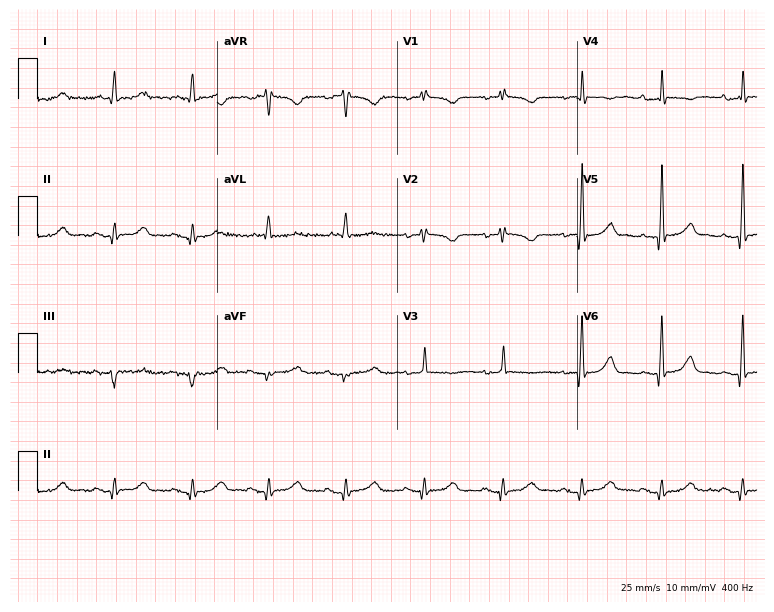
Standard 12-lead ECG recorded from an 80-year-old woman. None of these six findings is recorded: first-degree AV block, right bundle branch block, left bundle branch block, sinus bradycardia, atrial fibrillation, sinus tachycardia. Other findings, if any, are not listed.